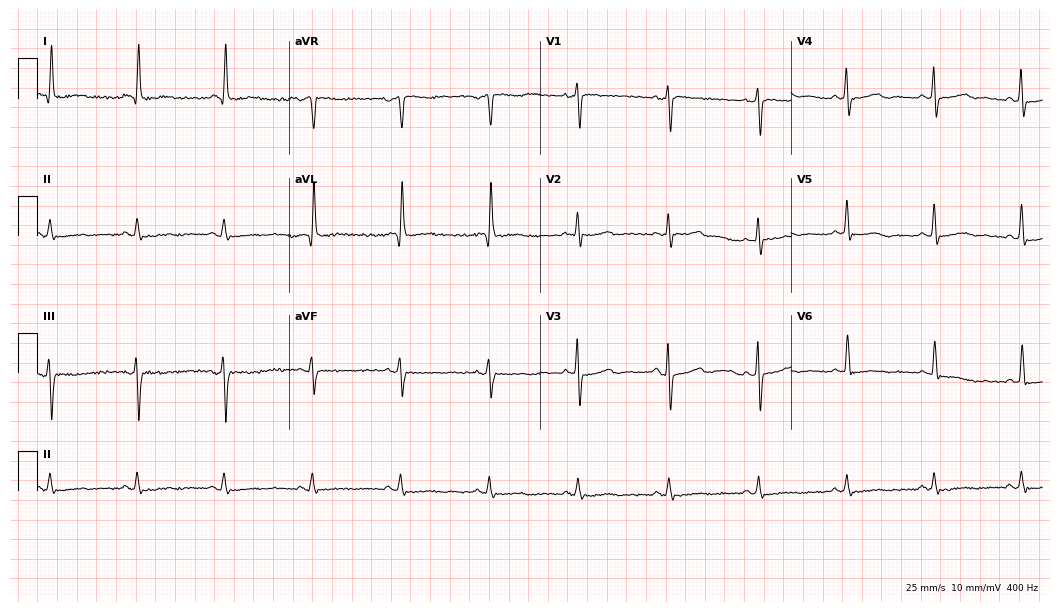
ECG (10.2-second recording at 400 Hz) — a woman, 75 years old. Screened for six findings — first-degree AV block, right bundle branch block, left bundle branch block, sinus bradycardia, atrial fibrillation, sinus tachycardia — none is recorded.